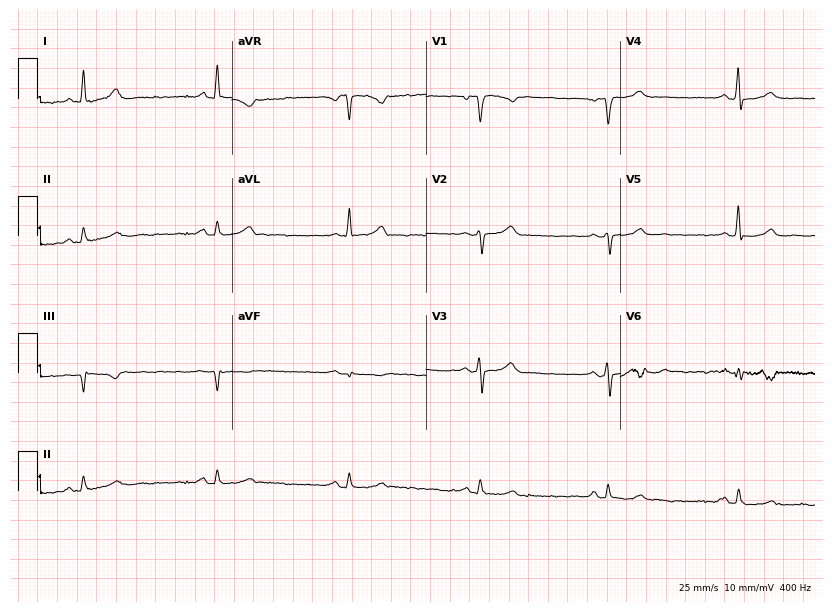
12-lead ECG (7.9-second recording at 400 Hz) from a man, 74 years old. Findings include atrial fibrillation (AF).